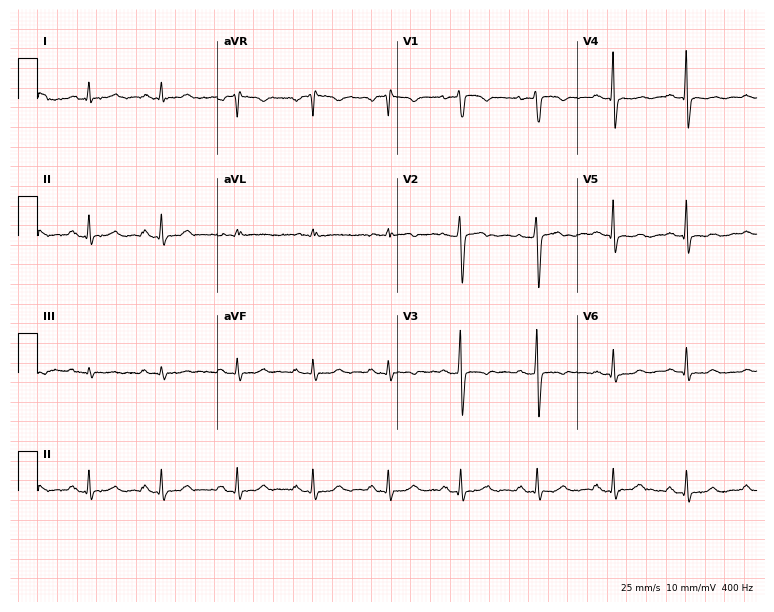
12-lead ECG from a female patient, 37 years old (7.3-second recording at 400 Hz). No first-degree AV block, right bundle branch block (RBBB), left bundle branch block (LBBB), sinus bradycardia, atrial fibrillation (AF) or sinus tachycardia recorded for this tracing. Only these six findings were labelled.